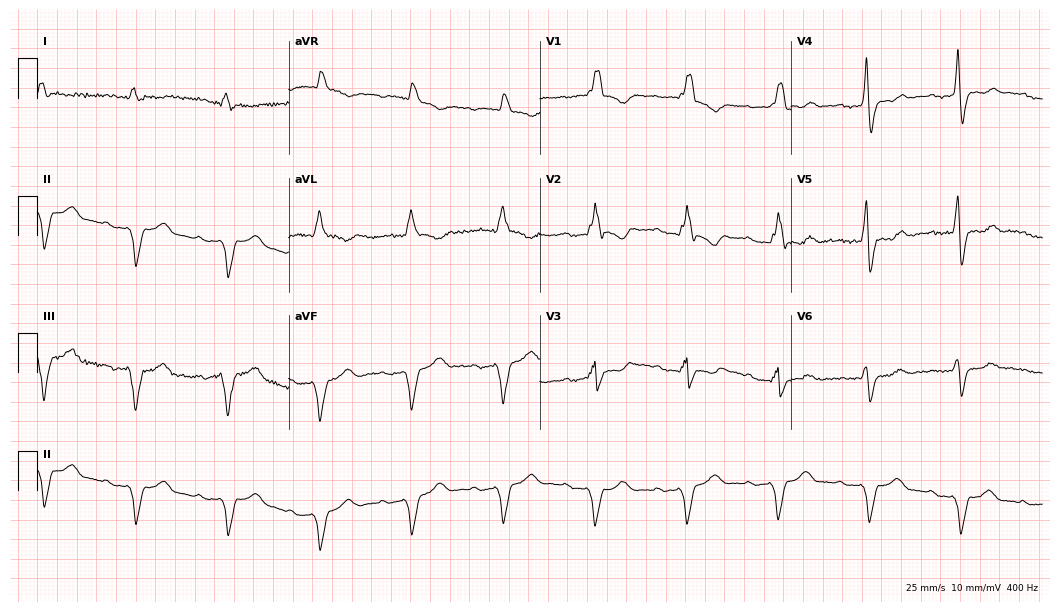
ECG — a 50-year-old male patient. Screened for six findings — first-degree AV block, right bundle branch block, left bundle branch block, sinus bradycardia, atrial fibrillation, sinus tachycardia — none is recorded. Findings outside these six are not listed.